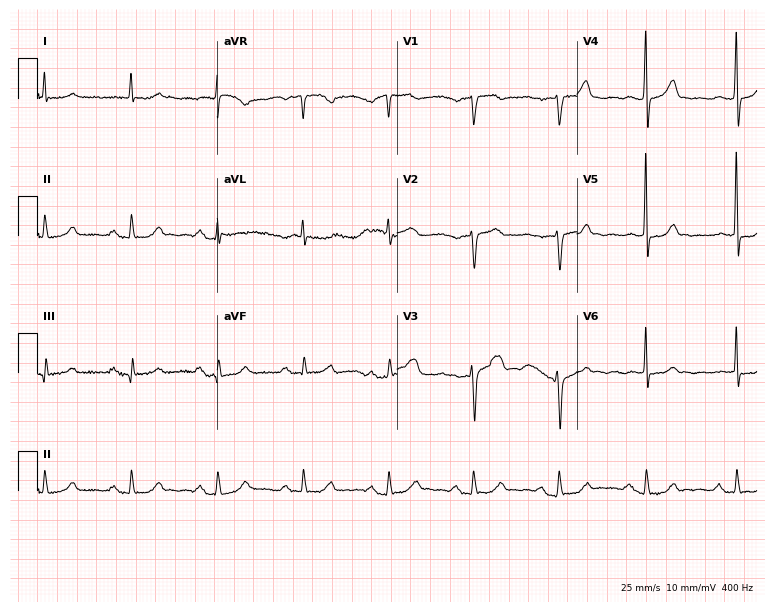
12-lead ECG from a male, 76 years old. Labelled as a normal ECG.